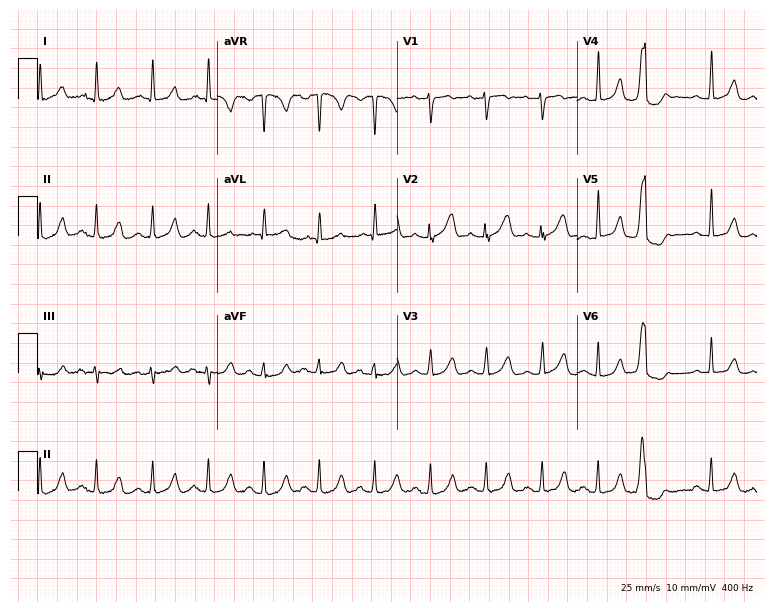
12-lead ECG from a woman, 64 years old. Shows sinus tachycardia (a sinus rate of 100 beats per minute or more).